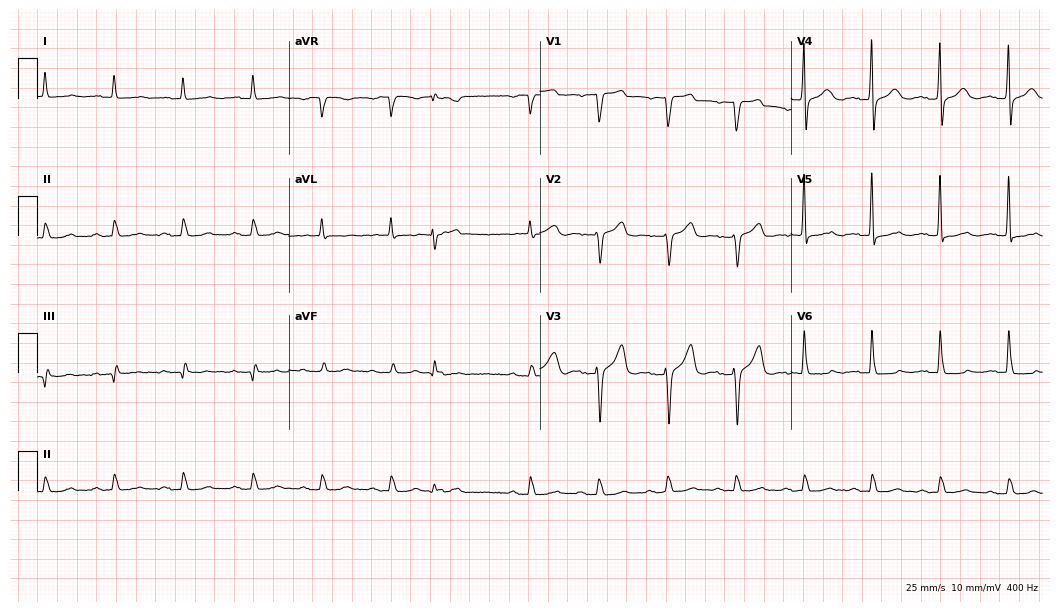
12-lead ECG from an 84-year-old male (10.2-second recording at 400 Hz). No first-degree AV block, right bundle branch block, left bundle branch block, sinus bradycardia, atrial fibrillation or sinus tachycardia recorded for this tracing. Findings outside these six are not listed.